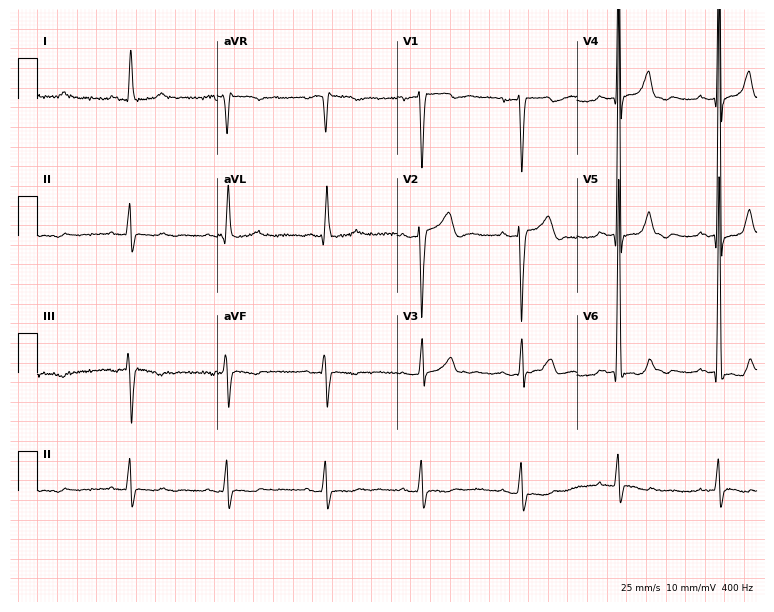
Resting 12-lead electrocardiogram (7.3-second recording at 400 Hz). Patient: a male, 69 years old. None of these six findings is recorded: first-degree AV block, right bundle branch block, left bundle branch block, sinus bradycardia, atrial fibrillation, sinus tachycardia.